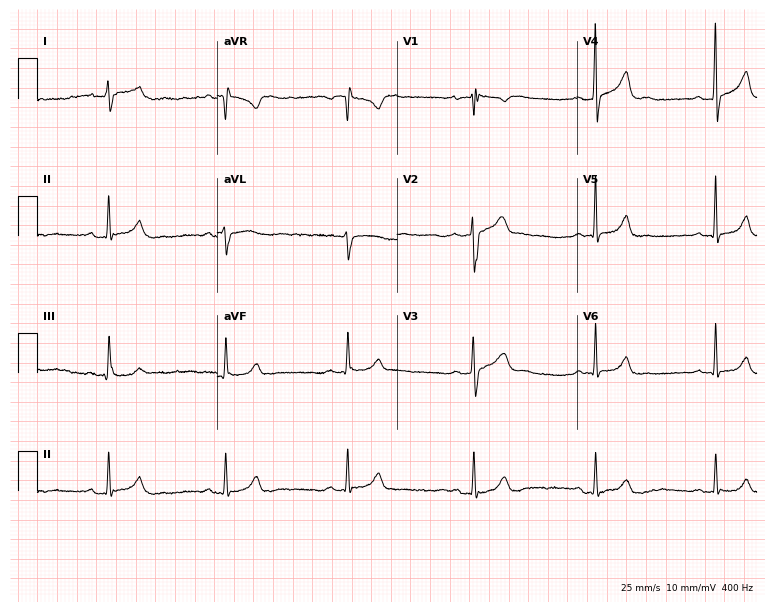
12-lead ECG from a 36-year-old man. Findings include sinus bradycardia (a sinus rate of 50 beats per minute or less).